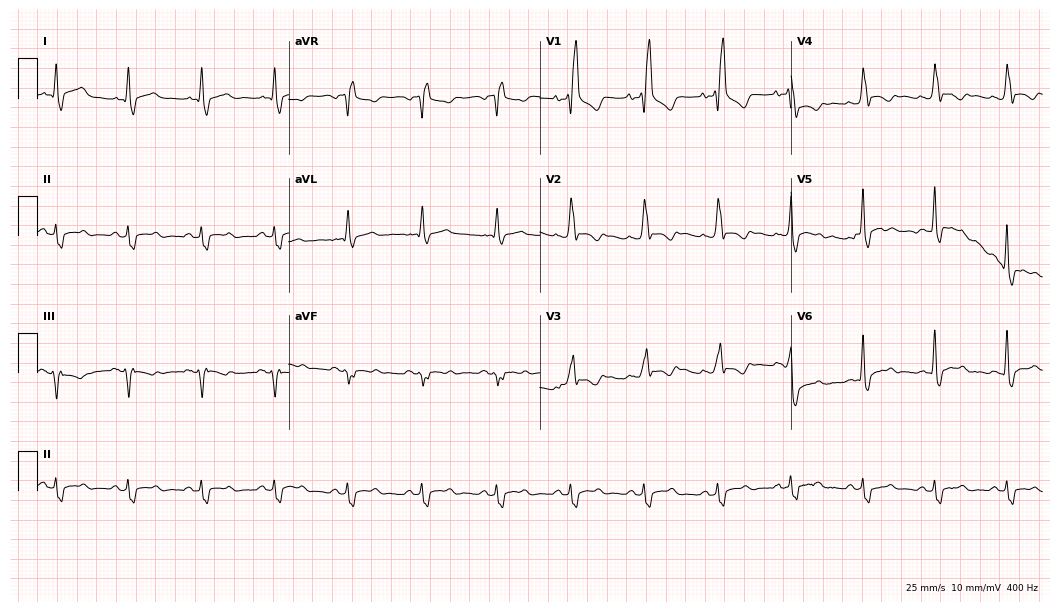
12-lead ECG from a male, 44 years old. Findings include right bundle branch block.